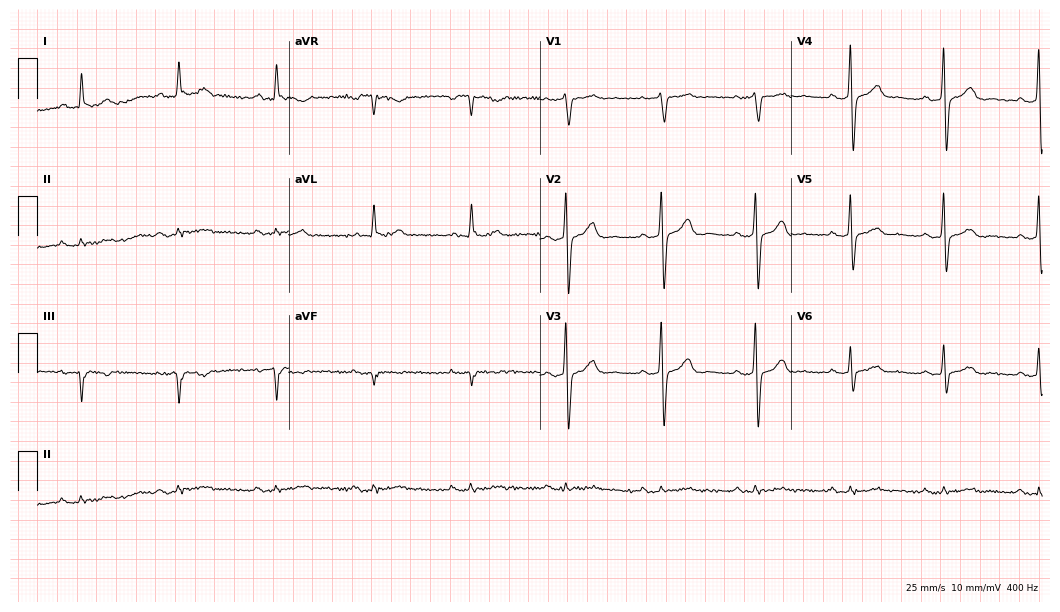
Resting 12-lead electrocardiogram (10.2-second recording at 400 Hz). Patient: a 65-year-old male. None of these six findings is recorded: first-degree AV block, right bundle branch block, left bundle branch block, sinus bradycardia, atrial fibrillation, sinus tachycardia. Only these six findings were labelled.